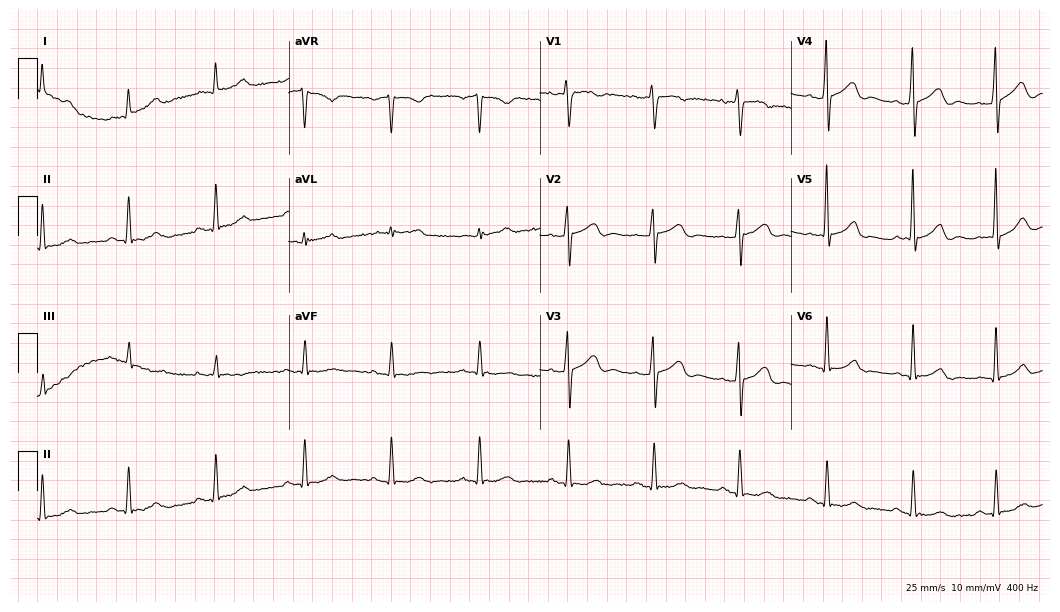
12-lead ECG from a 49-year-old male patient. Labelled as a normal ECG.